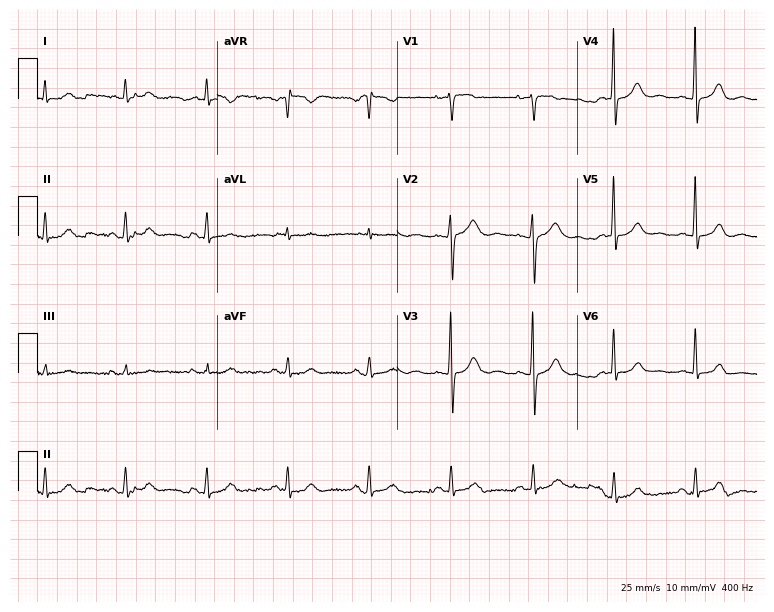
12-lead ECG (7.3-second recording at 400 Hz) from a 75-year-old female. Screened for six findings — first-degree AV block, right bundle branch block, left bundle branch block, sinus bradycardia, atrial fibrillation, sinus tachycardia — none is recorded. Other findings, if any, are not listed.